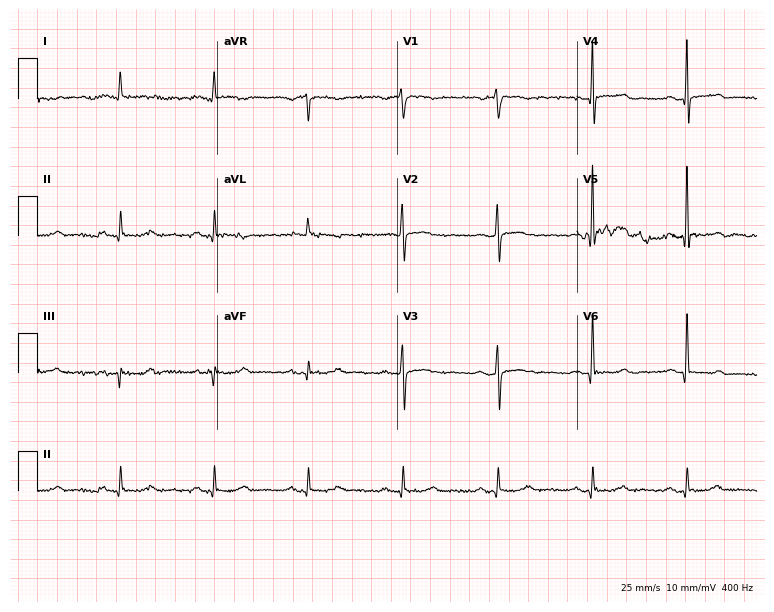
Electrocardiogram (7.3-second recording at 400 Hz), a male, 85 years old. Of the six screened findings (first-degree AV block, right bundle branch block, left bundle branch block, sinus bradycardia, atrial fibrillation, sinus tachycardia), none is recorded.